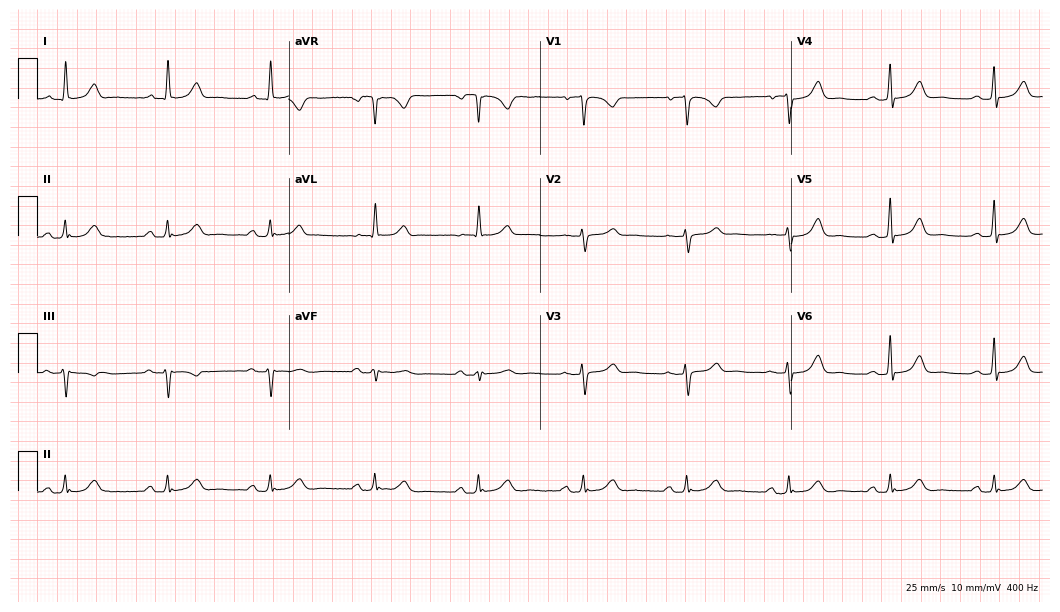
Standard 12-lead ECG recorded from a female, 65 years old. Read as a normal ECG.